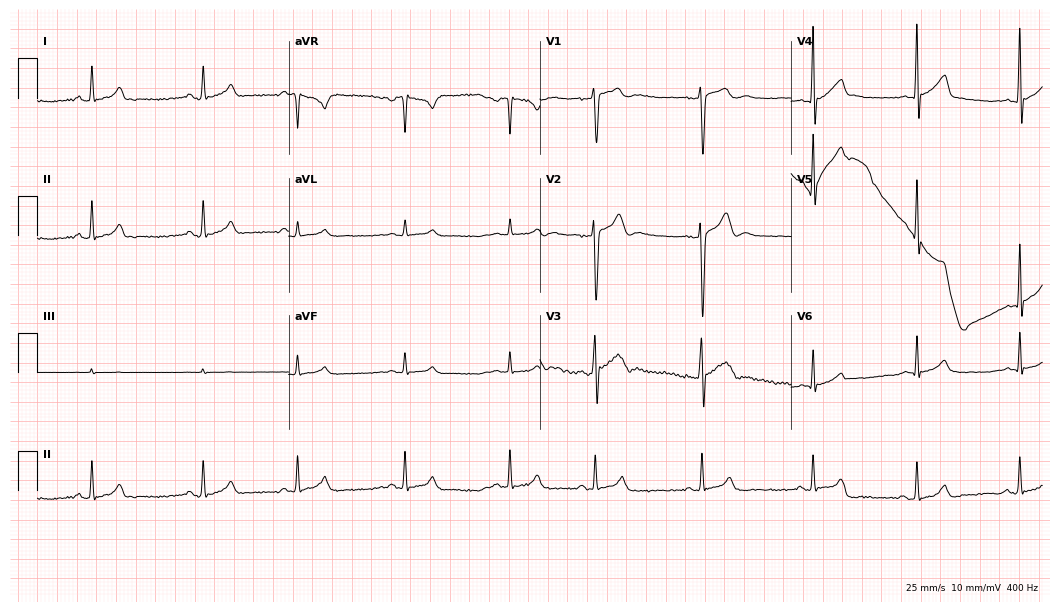
ECG (10.2-second recording at 400 Hz) — a 20-year-old male. Labelled as a normal ECG.